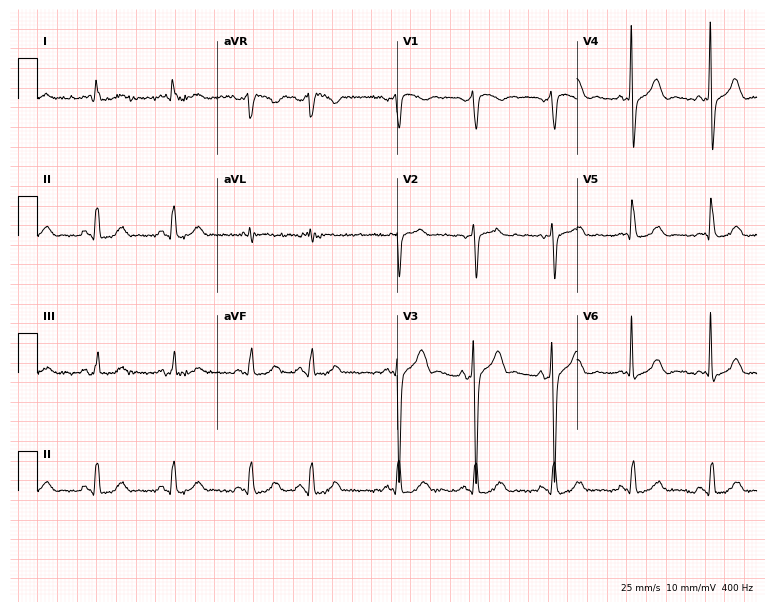
12-lead ECG (7.3-second recording at 400 Hz) from a 54-year-old male. Screened for six findings — first-degree AV block, right bundle branch block, left bundle branch block, sinus bradycardia, atrial fibrillation, sinus tachycardia — none is recorded.